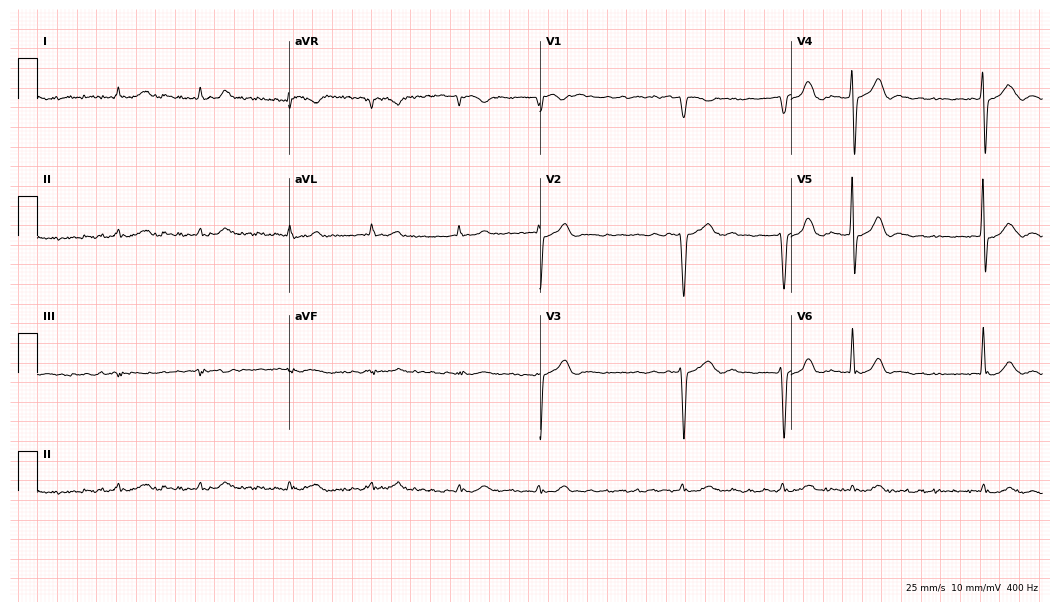
Resting 12-lead electrocardiogram (10.2-second recording at 400 Hz). Patient: a male, 76 years old. The tracing shows atrial fibrillation.